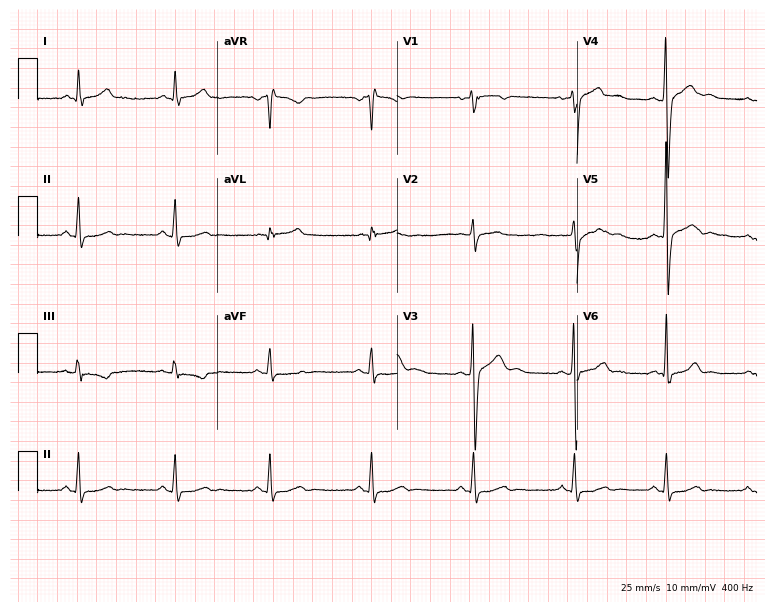
Resting 12-lead electrocardiogram. Patient: a male, 35 years old. None of these six findings is recorded: first-degree AV block, right bundle branch block (RBBB), left bundle branch block (LBBB), sinus bradycardia, atrial fibrillation (AF), sinus tachycardia.